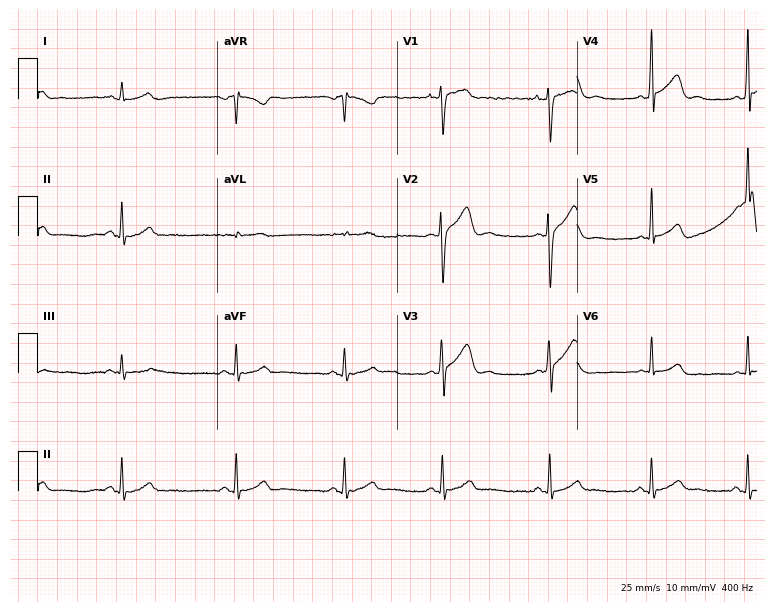
Standard 12-lead ECG recorded from a 29-year-old male patient. Read as a normal ECG.